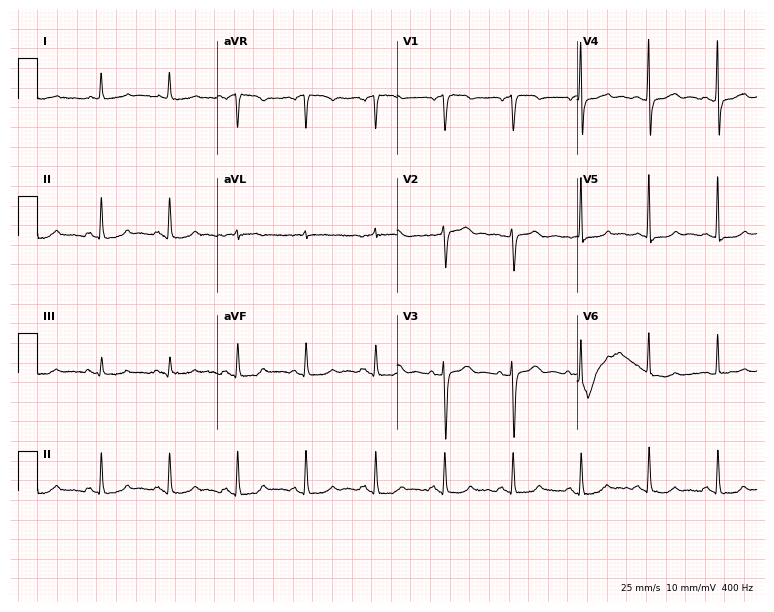
12-lead ECG from a woman, 77 years old. Screened for six findings — first-degree AV block, right bundle branch block, left bundle branch block, sinus bradycardia, atrial fibrillation, sinus tachycardia — none is recorded.